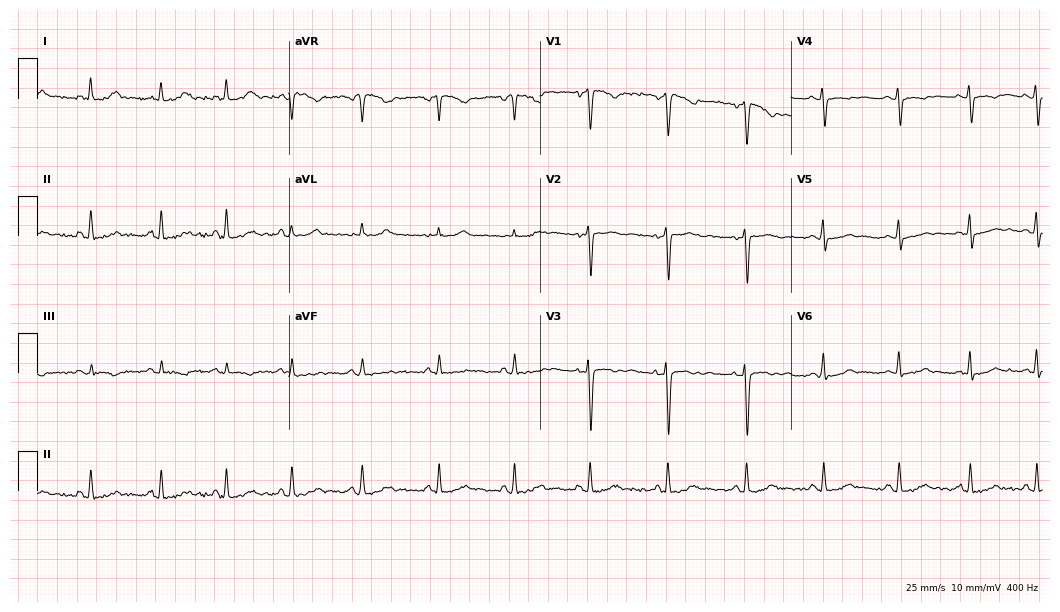
ECG — a female, 20 years old. Screened for six findings — first-degree AV block, right bundle branch block, left bundle branch block, sinus bradycardia, atrial fibrillation, sinus tachycardia — none is recorded.